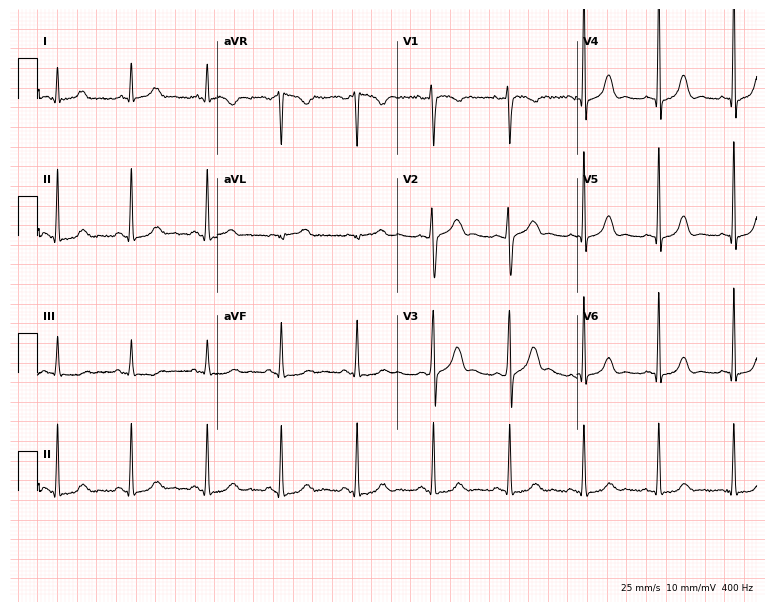
12-lead ECG (7.3-second recording at 400 Hz) from a woman, 40 years old. Screened for six findings — first-degree AV block, right bundle branch block, left bundle branch block, sinus bradycardia, atrial fibrillation, sinus tachycardia — none is recorded. Findings outside these six are not listed.